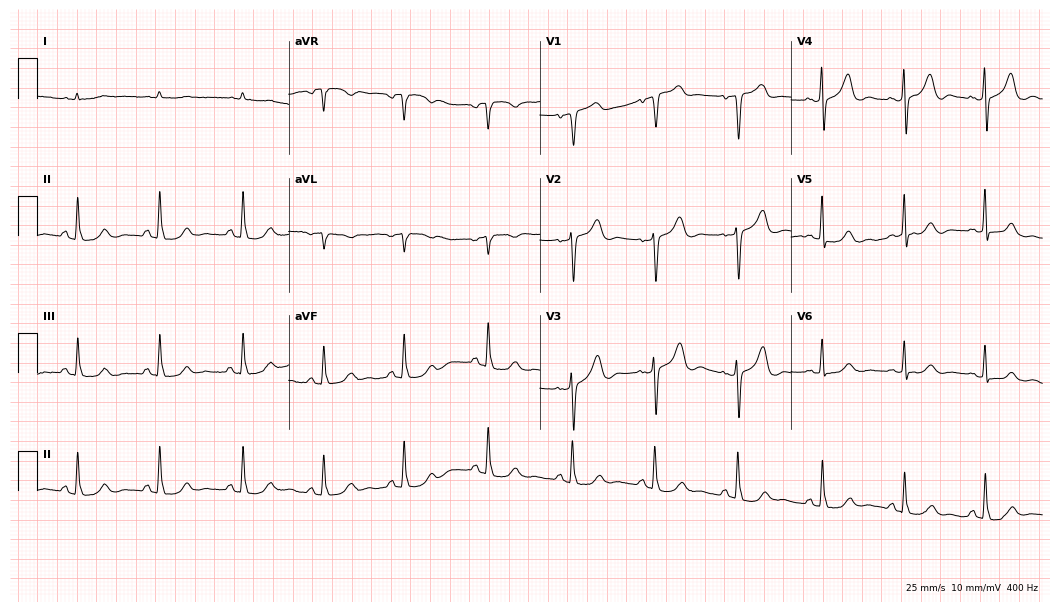
Resting 12-lead electrocardiogram. Patient: a woman, 76 years old. Read as a normal ECG.